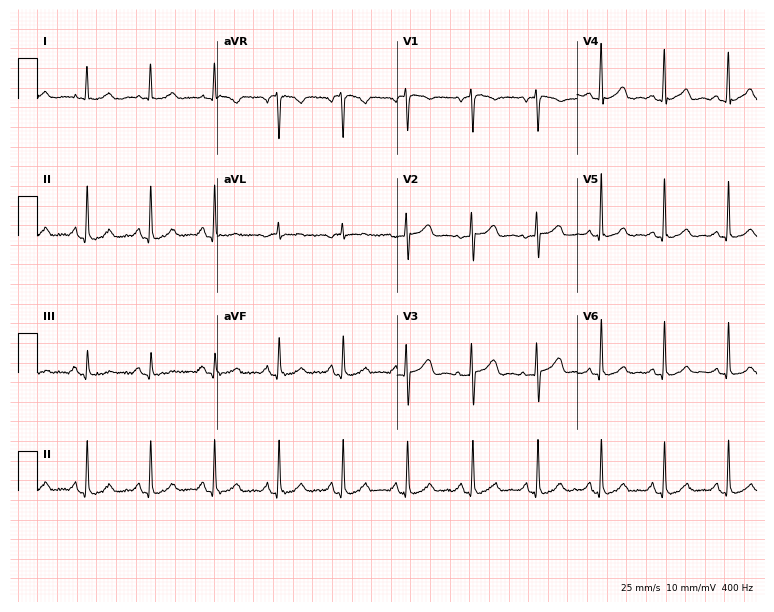
Electrocardiogram (7.3-second recording at 400 Hz), a 70-year-old female patient. Overall reading on record: normal ECG.